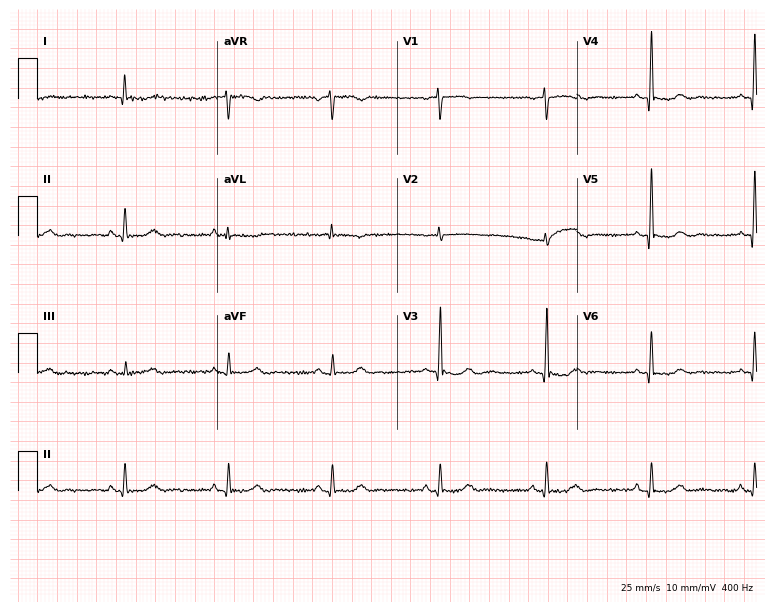
12-lead ECG from a 75-year-old female patient. Screened for six findings — first-degree AV block, right bundle branch block (RBBB), left bundle branch block (LBBB), sinus bradycardia, atrial fibrillation (AF), sinus tachycardia — none is recorded.